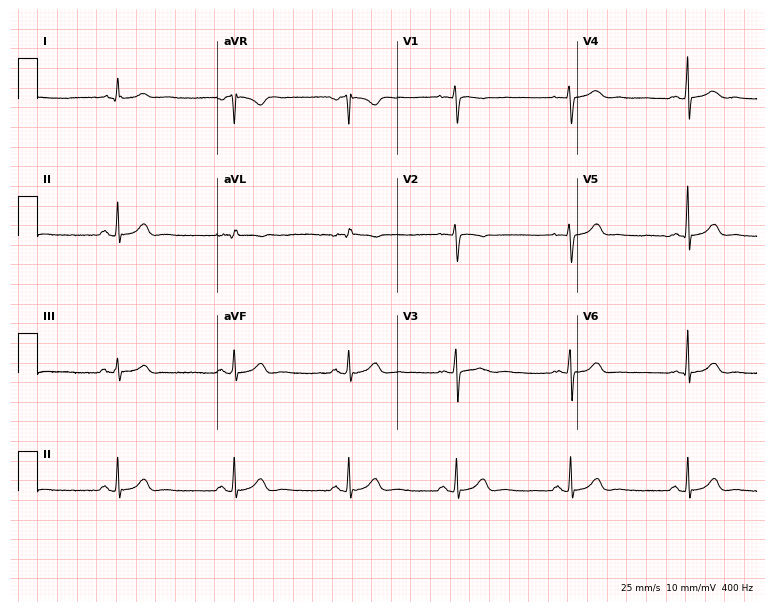
Electrocardiogram (7.3-second recording at 400 Hz), a 19-year-old woman. Overall reading on record: normal ECG.